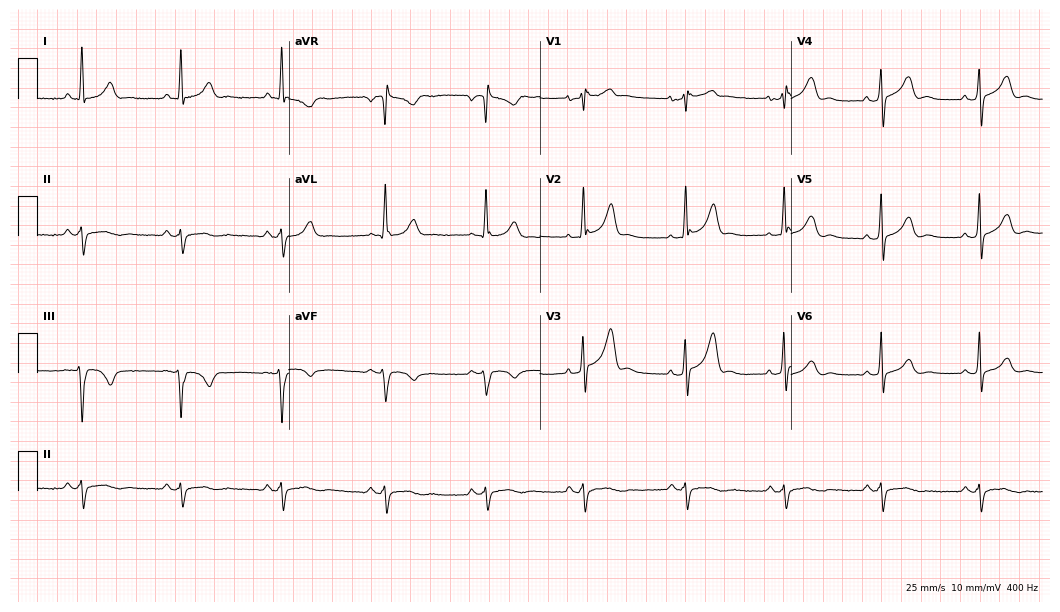
12-lead ECG (10.2-second recording at 400 Hz) from a male, 63 years old. Screened for six findings — first-degree AV block, right bundle branch block, left bundle branch block, sinus bradycardia, atrial fibrillation, sinus tachycardia — none is recorded.